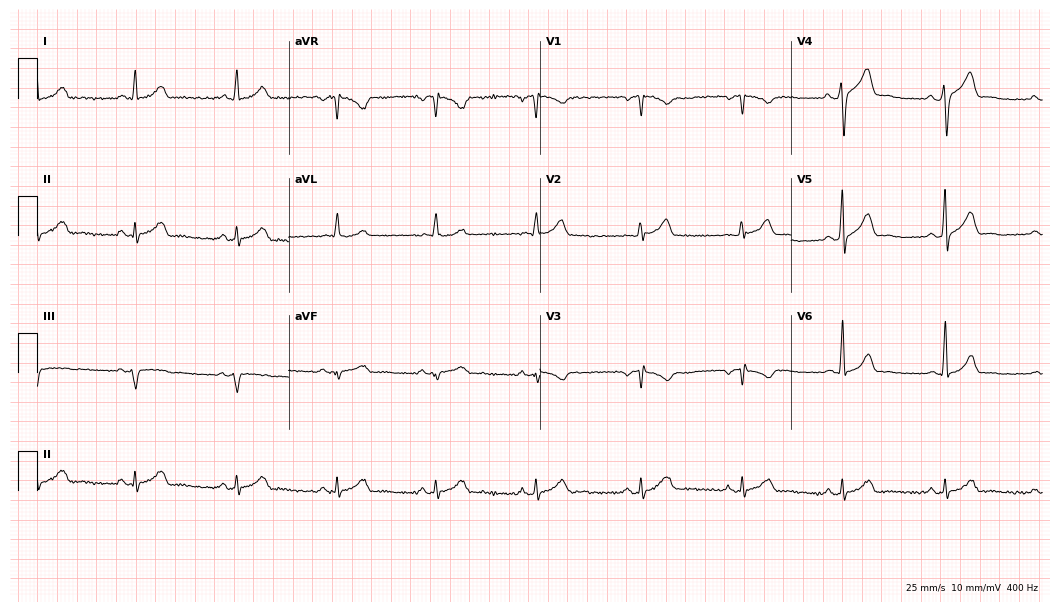
Standard 12-lead ECG recorded from a 36-year-old male (10.2-second recording at 400 Hz). Read as a normal ECG.